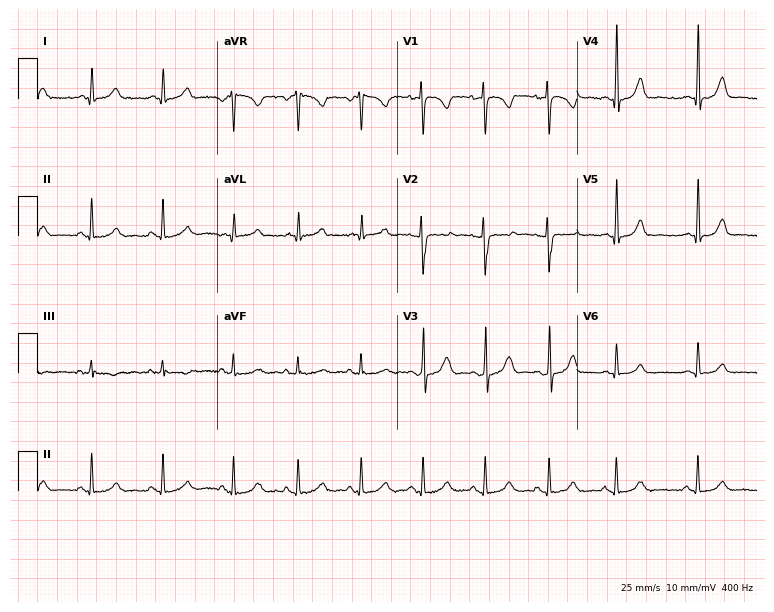
Electrocardiogram (7.3-second recording at 400 Hz), a female, 35 years old. Overall reading on record: normal ECG.